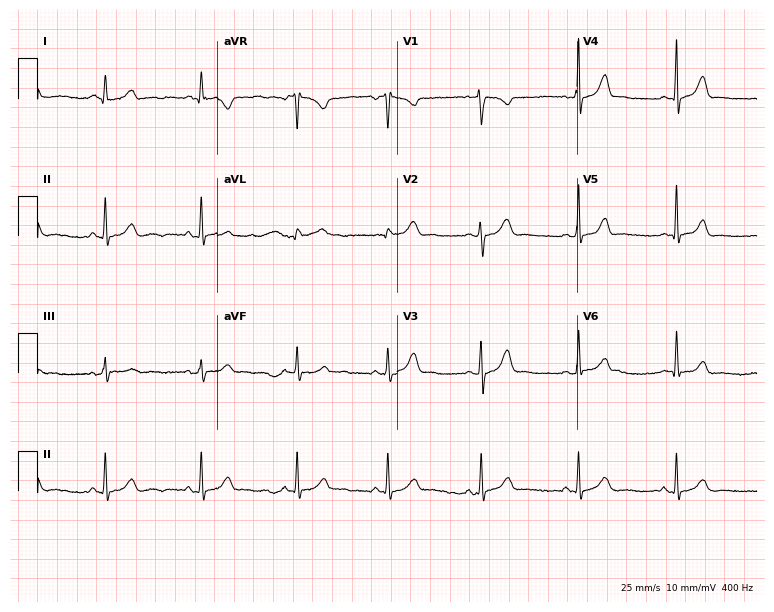
Standard 12-lead ECG recorded from a 25-year-old female (7.3-second recording at 400 Hz). Read as a normal ECG.